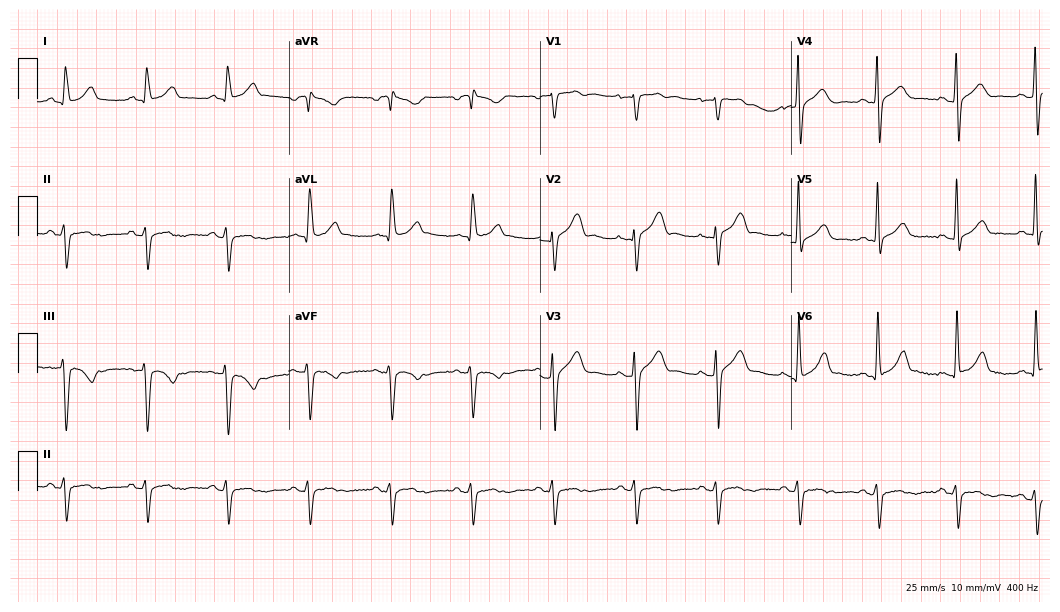
Electrocardiogram, a male patient, 53 years old. Of the six screened findings (first-degree AV block, right bundle branch block, left bundle branch block, sinus bradycardia, atrial fibrillation, sinus tachycardia), none is recorded. Findings outside these six are not listed.